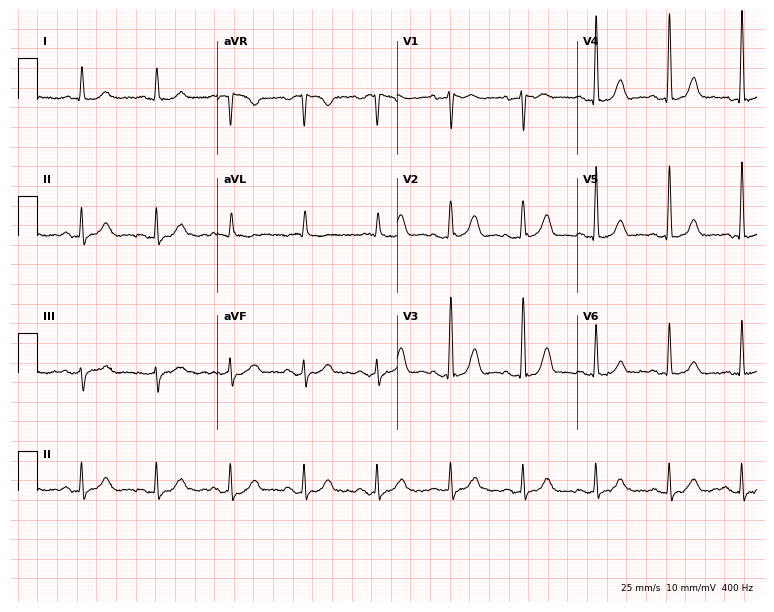
12-lead ECG (7.3-second recording at 400 Hz) from a male, 68 years old. Labelled as a normal ECG.